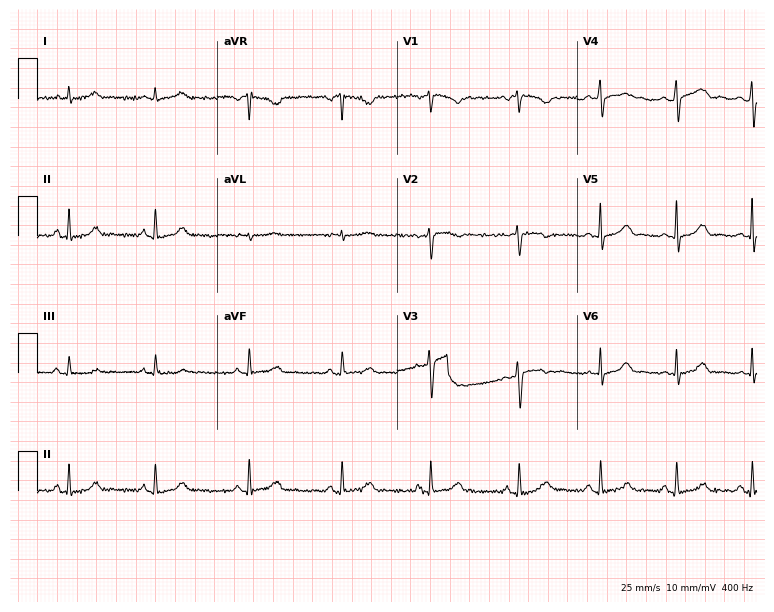
12-lead ECG from a female patient, 34 years old (7.3-second recording at 400 Hz). Recorded interpretation: within normal limits.